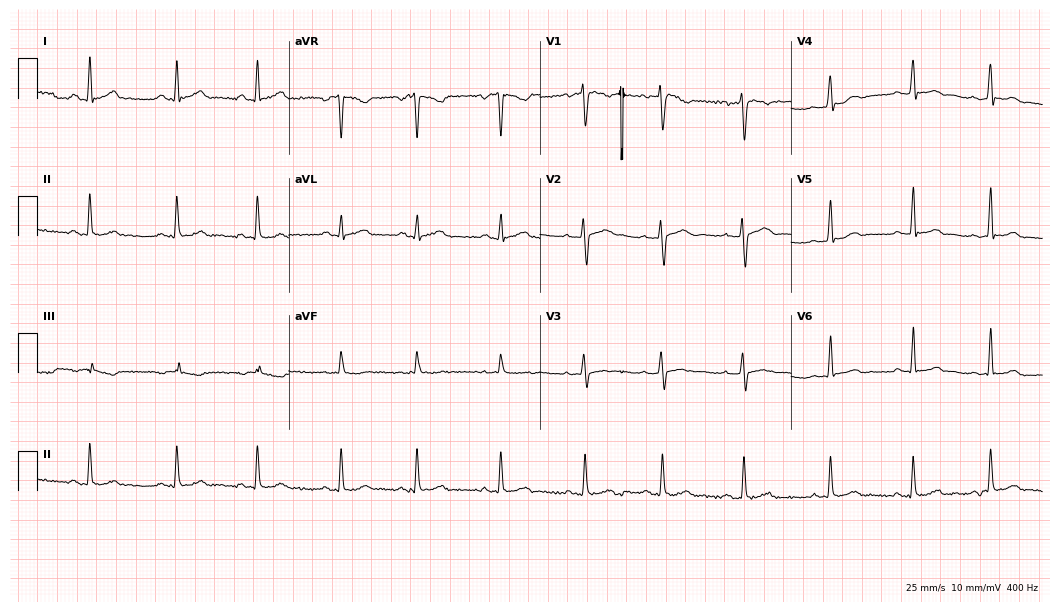
Electrocardiogram (10.2-second recording at 400 Hz), a female, 23 years old. Overall reading on record: normal ECG.